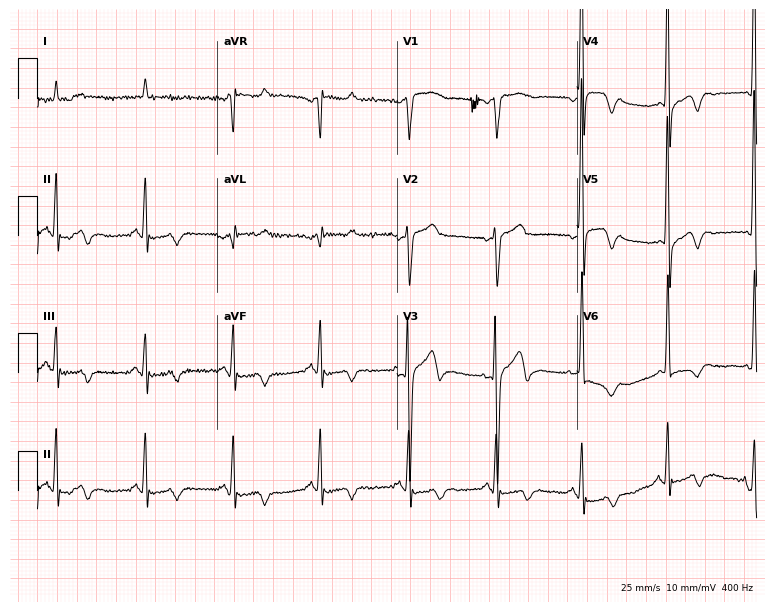
Resting 12-lead electrocardiogram. Patient: a woman, 65 years old. None of these six findings is recorded: first-degree AV block, right bundle branch block, left bundle branch block, sinus bradycardia, atrial fibrillation, sinus tachycardia.